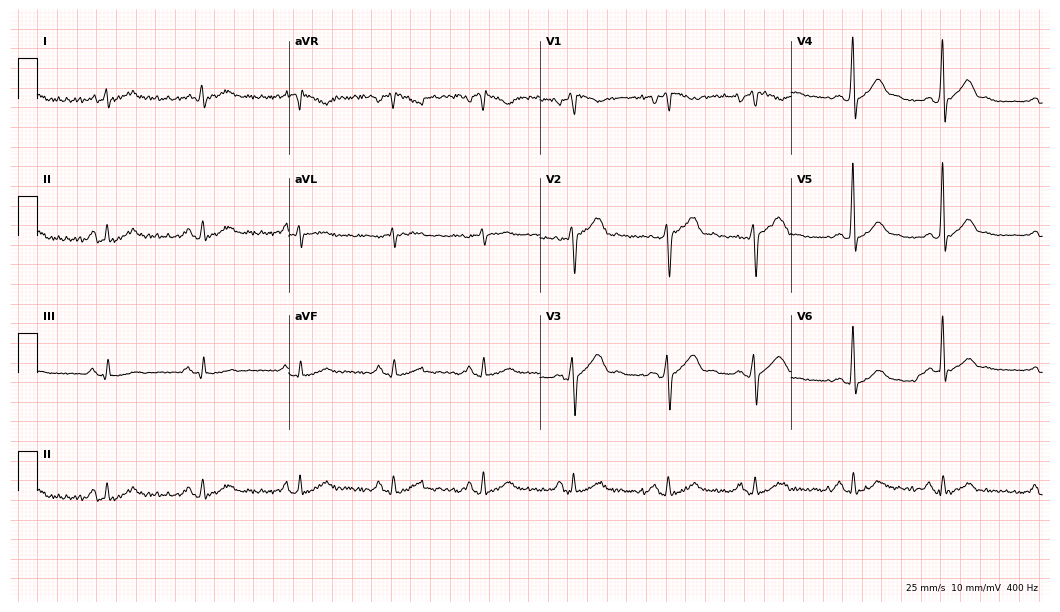
12-lead ECG from a 51-year-old male patient (10.2-second recording at 400 Hz). Recorded interpretation: within normal limits.